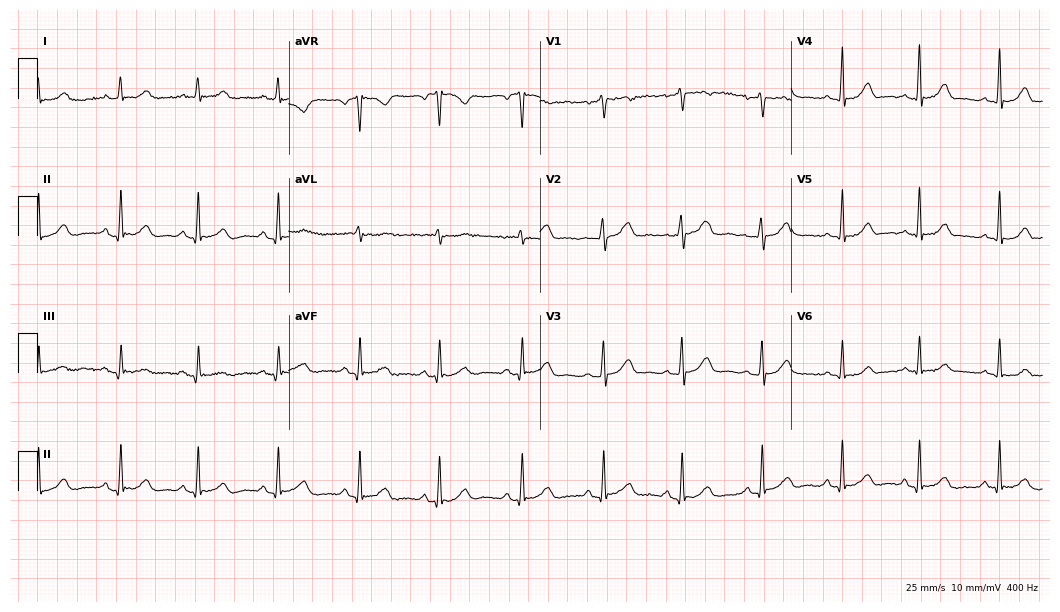
Standard 12-lead ECG recorded from a female, 39 years old (10.2-second recording at 400 Hz). None of these six findings is recorded: first-degree AV block, right bundle branch block (RBBB), left bundle branch block (LBBB), sinus bradycardia, atrial fibrillation (AF), sinus tachycardia. Only these six findings were labelled.